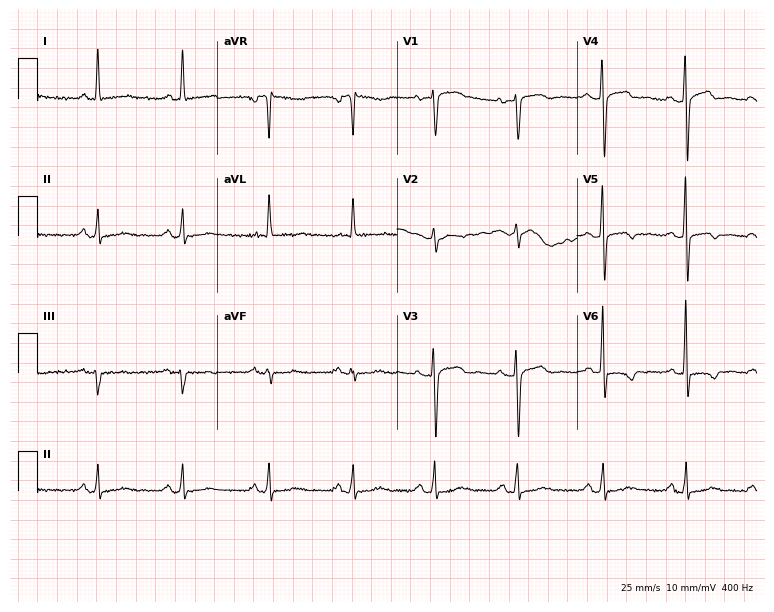
12-lead ECG from a 68-year-old female. No first-degree AV block, right bundle branch block, left bundle branch block, sinus bradycardia, atrial fibrillation or sinus tachycardia recorded for this tracing.